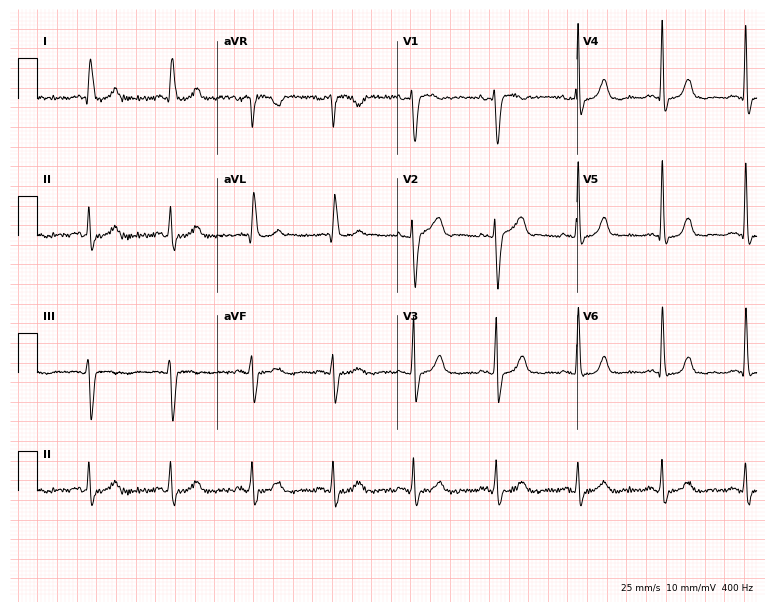
Resting 12-lead electrocardiogram. Patient: a female, 74 years old. Read as a normal ECG.